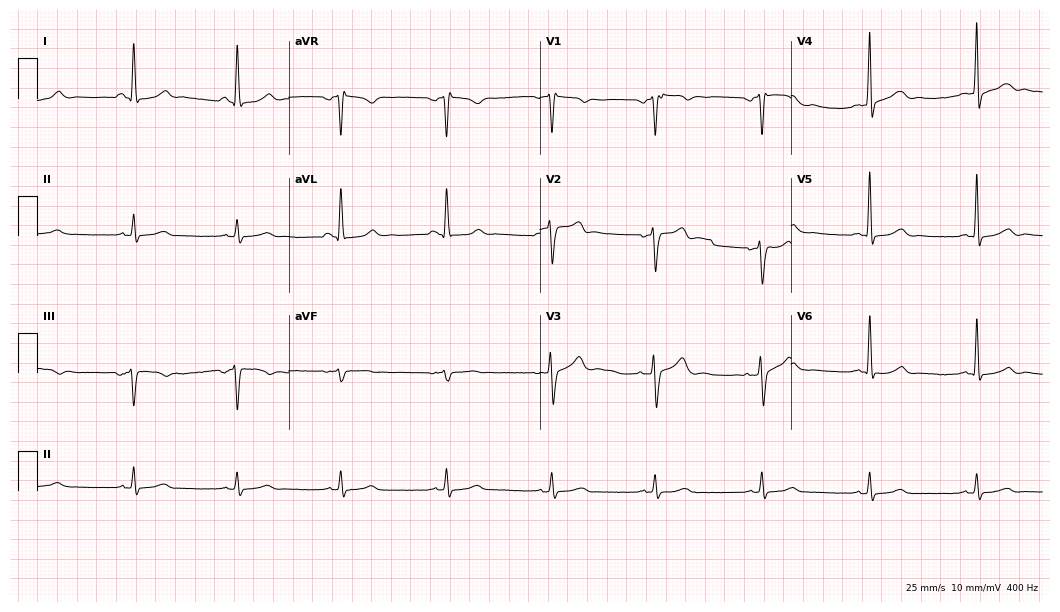
12-lead ECG (10.2-second recording at 400 Hz) from a man, 56 years old. Screened for six findings — first-degree AV block, right bundle branch block, left bundle branch block, sinus bradycardia, atrial fibrillation, sinus tachycardia — none is recorded. Only these six findings were labelled.